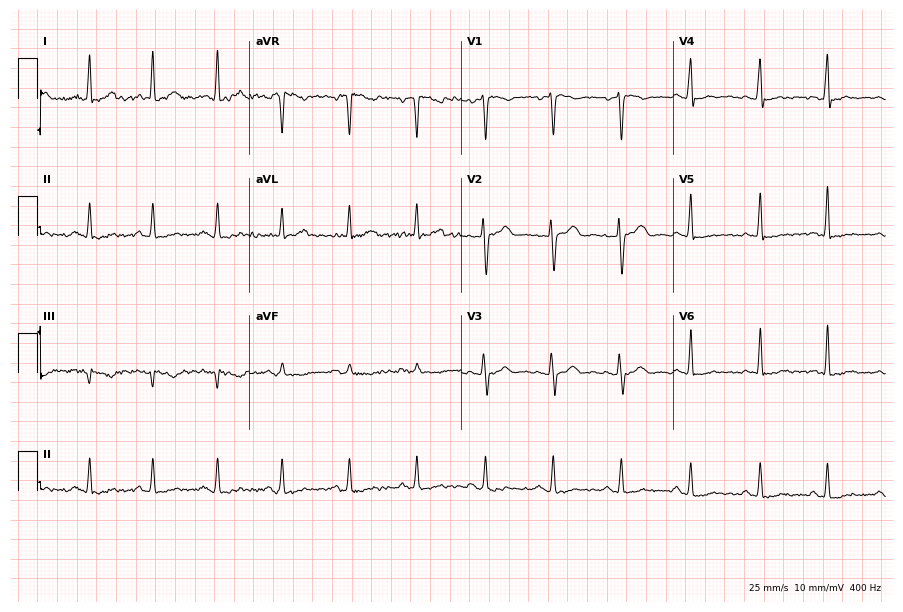
12-lead ECG from a woman, 29 years old. No first-degree AV block, right bundle branch block, left bundle branch block, sinus bradycardia, atrial fibrillation or sinus tachycardia recorded for this tracing.